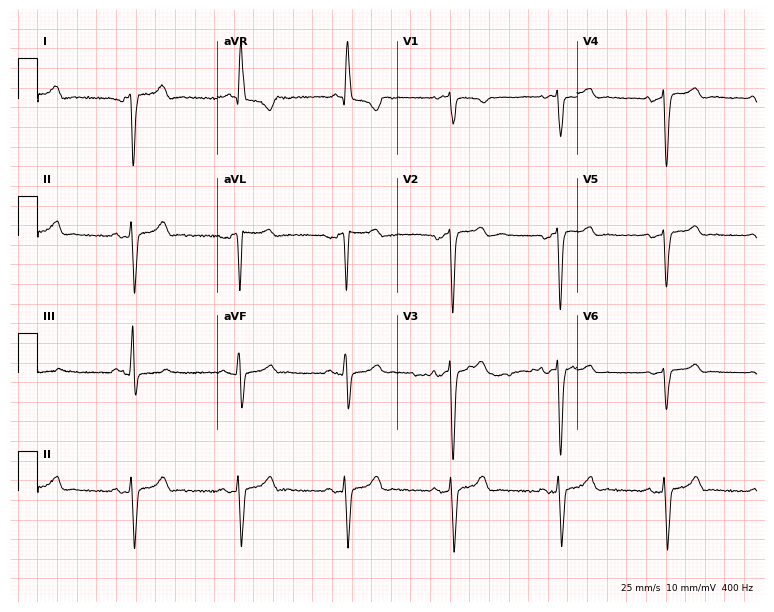
Electrocardiogram, a 68-year-old male. Of the six screened findings (first-degree AV block, right bundle branch block, left bundle branch block, sinus bradycardia, atrial fibrillation, sinus tachycardia), none is recorded.